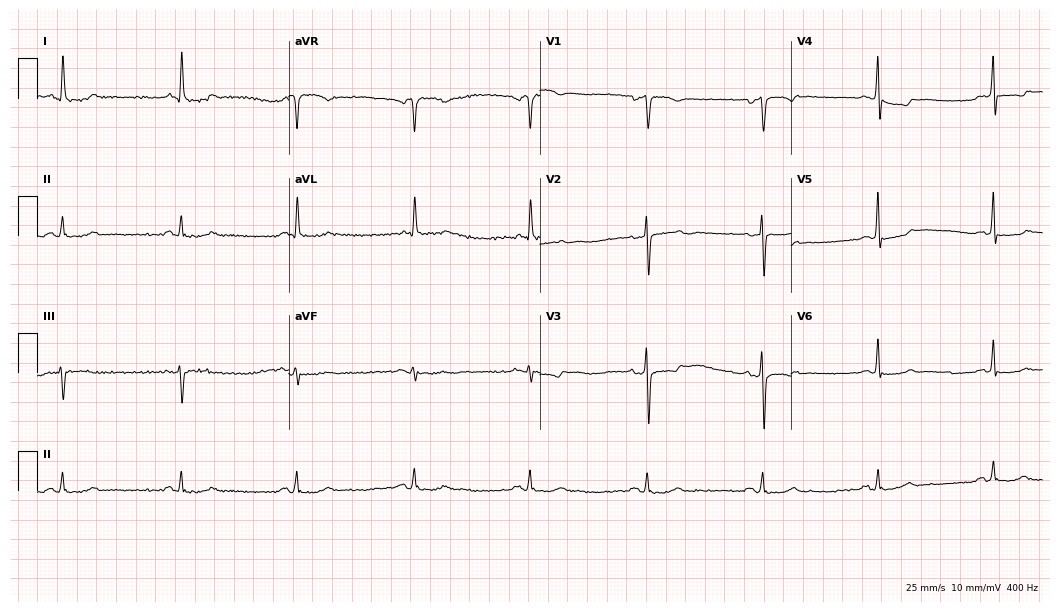
12-lead ECG from an 84-year-old female patient. Findings include sinus bradycardia (a sinus rate of 50 beats per minute or less).